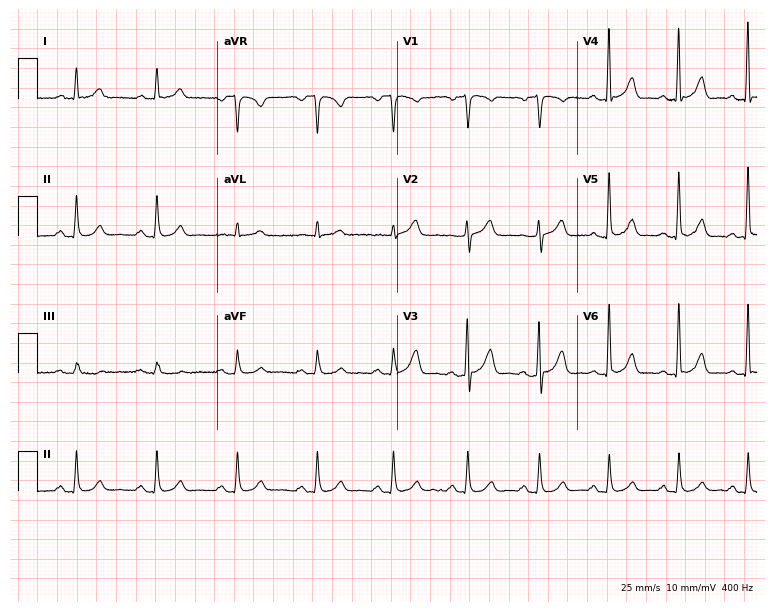
12-lead ECG (7.3-second recording at 400 Hz) from a 45-year-old male patient. Labelled as a normal ECG.